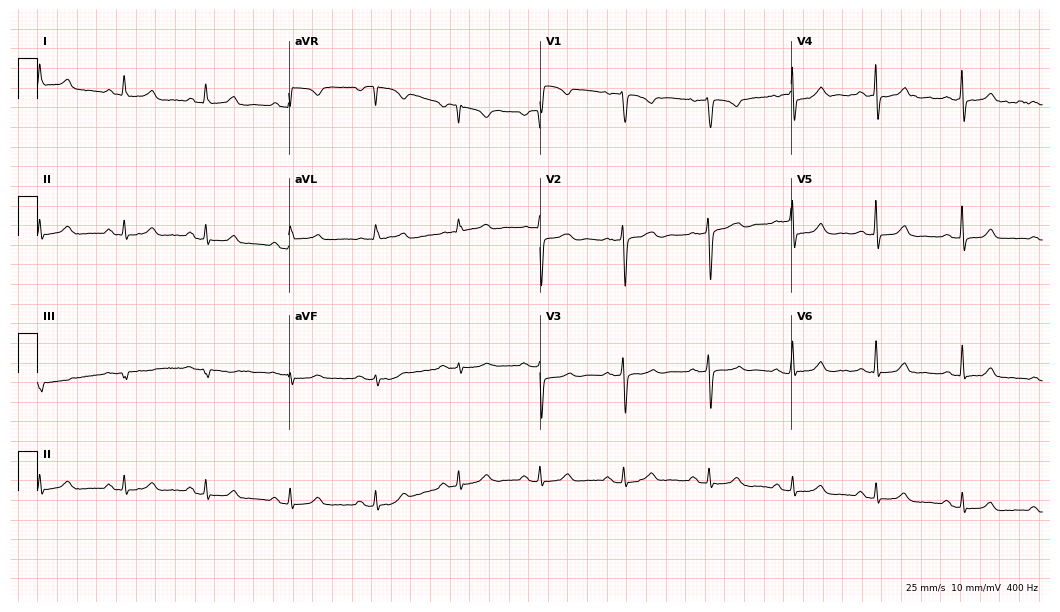
12-lead ECG (10.2-second recording at 400 Hz) from a 54-year-old woman. Labelled as a normal ECG.